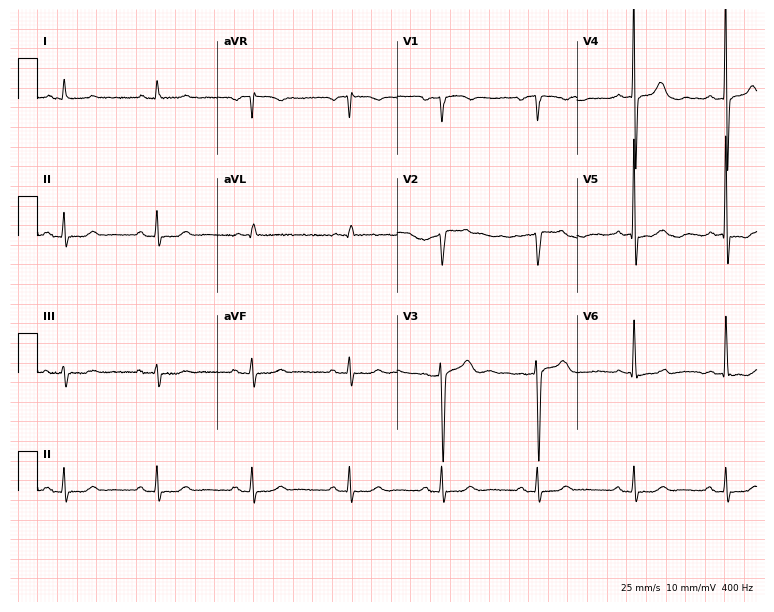
Standard 12-lead ECG recorded from a 48-year-old female patient. None of these six findings is recorded: first-degree AV block, right bundle branch block (RBBB), left bundle branch block (LBBB), sinus bradycardia, atrial fibrillation (AF), sinus tachycardia.